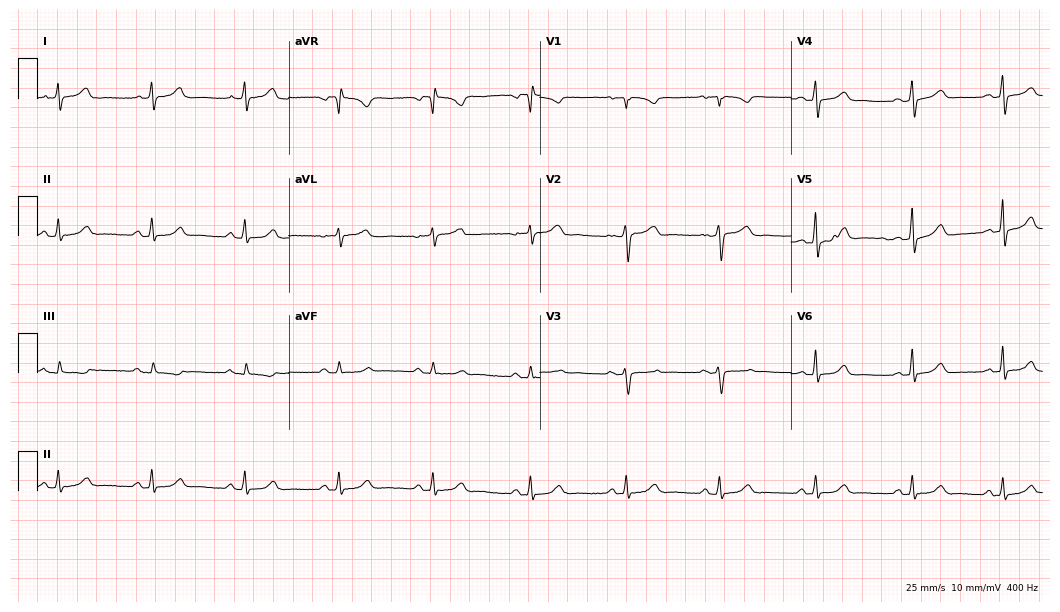
ECG — a 41-year-old female patient. Screened for six findings — first-degree AV block, right bundle branch block, left bundle branch block, sinus bradycardia, atrial fibrillation, sinus tachycardia — none is recorded.